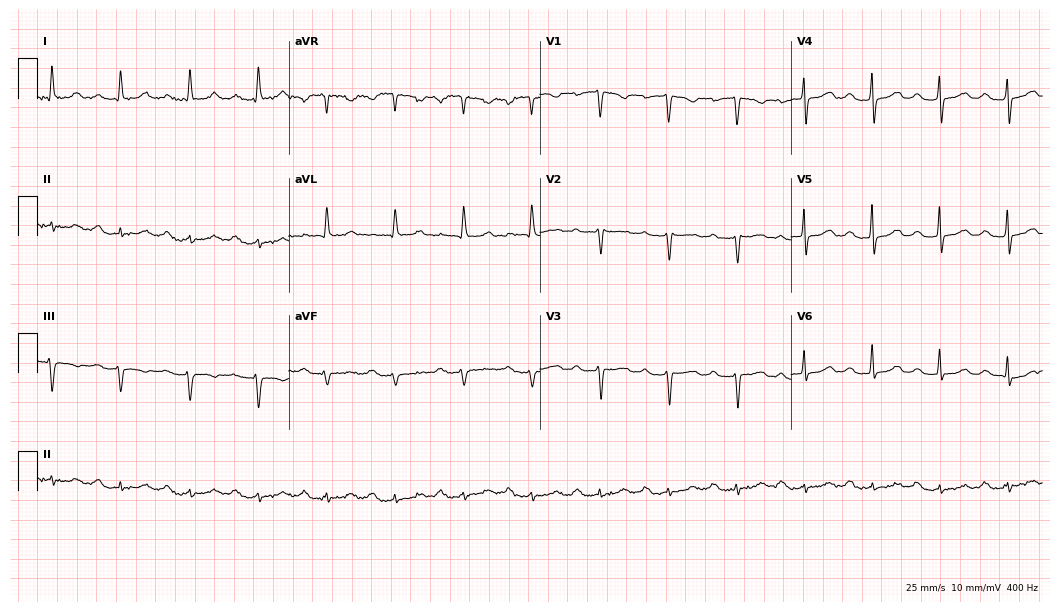
ECG — a female patient, 84 years old. Findings include first-degree AV block.